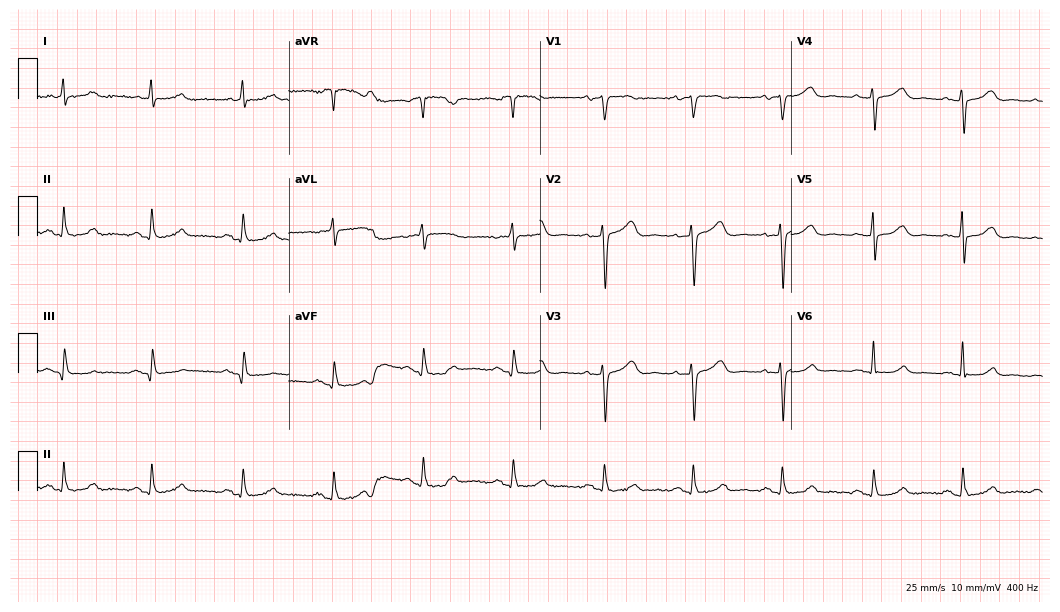
12-lead ECG from a 63-year-old woman (10.2-second recording at 400 Hz). No first-degree AV block, right bundle branch block, left bundle branch block, sinus bradycardia, atrial fibrillation or sinus tachycardia recorded for this tracing.